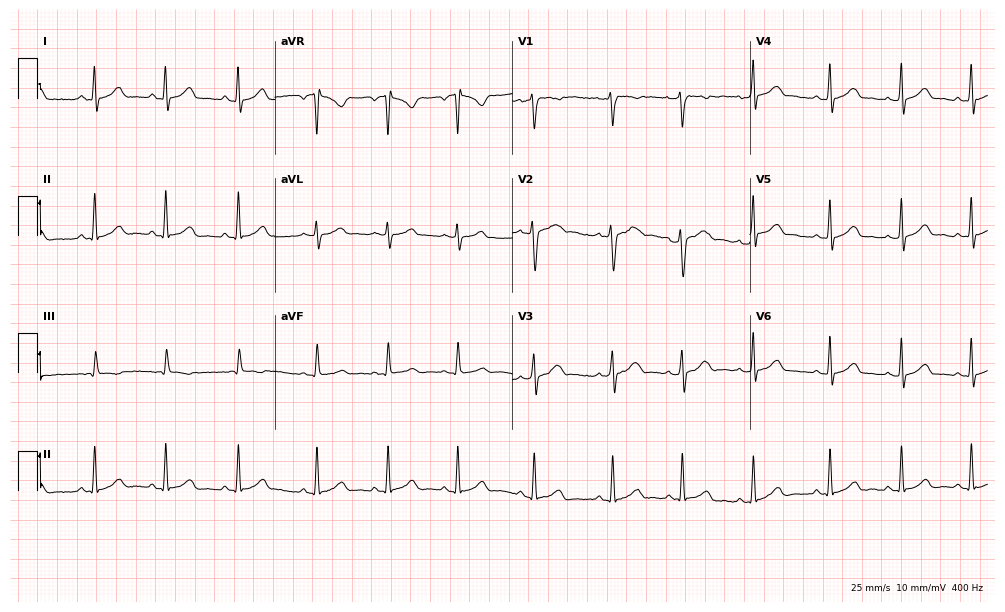
12-lead ECG from a woman, 21 years old (9.7-second recording at 400 Hz). Recorded interpretation: within normal limits.